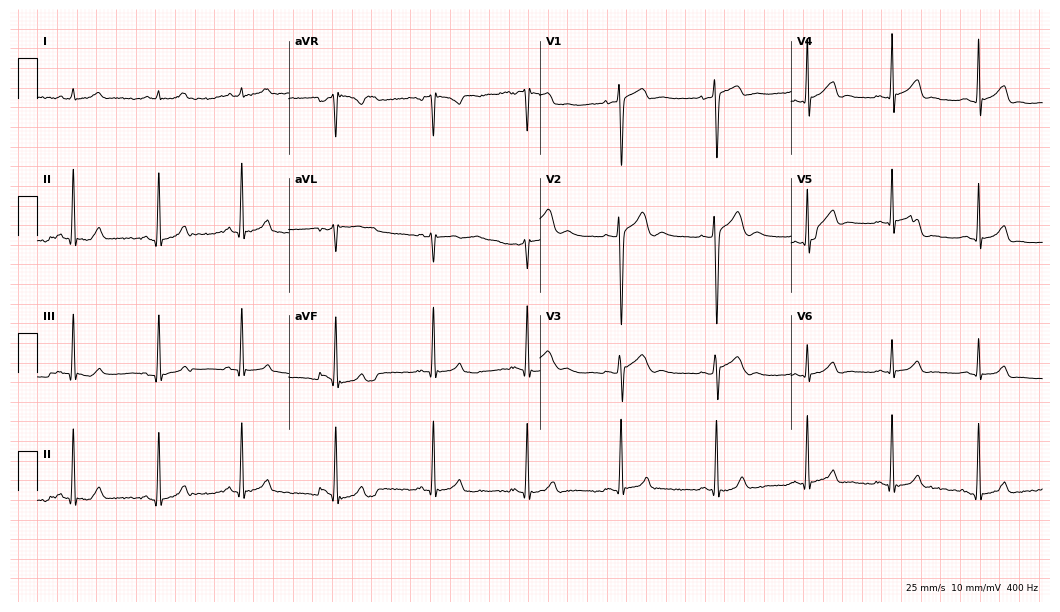
Resting 12-lead electrocardiogram. Patient: a 17-year-old man. Read as a normal ECG.